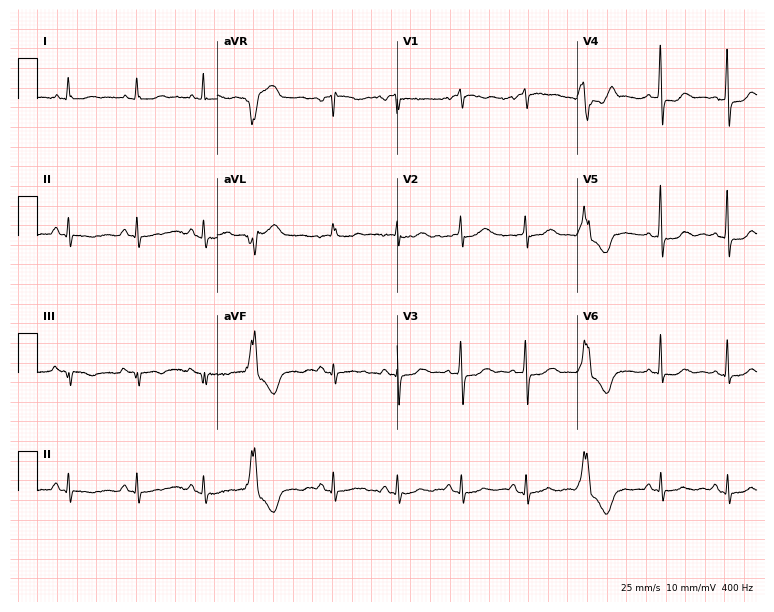
Standard 12-lead ECG recorded from a woman, 48 years old (7.3-second recording at 400 Hz). None of these six findings is recorded: first-degree AV block, right bundle branch block (RBBB), left bundle branch block (LBBB), sinus bradycardia, atrial fibrillation (AF), sinus tachycardia. Other findings, if any, are not listed.